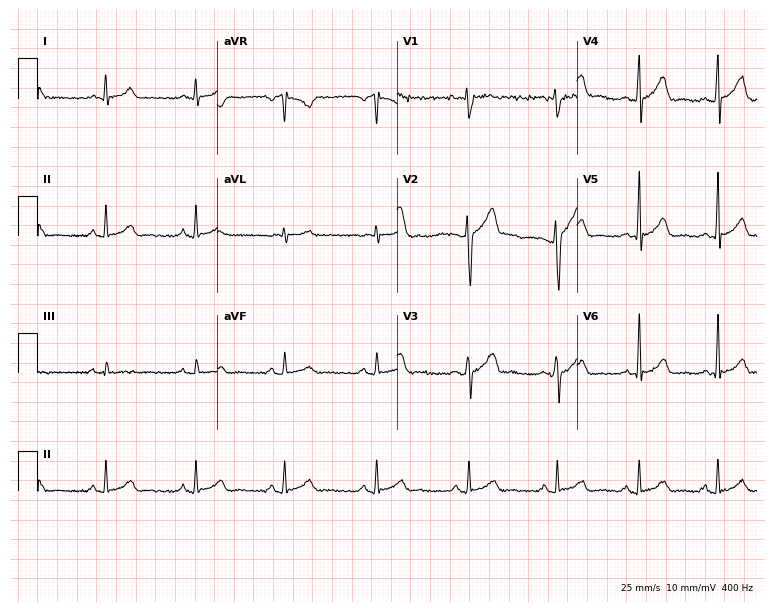
Resting 12-lead electrocardiogram (7.3-second recording at 400 Hz). Patient: a male, 31 years old. Read as a normal ECG.